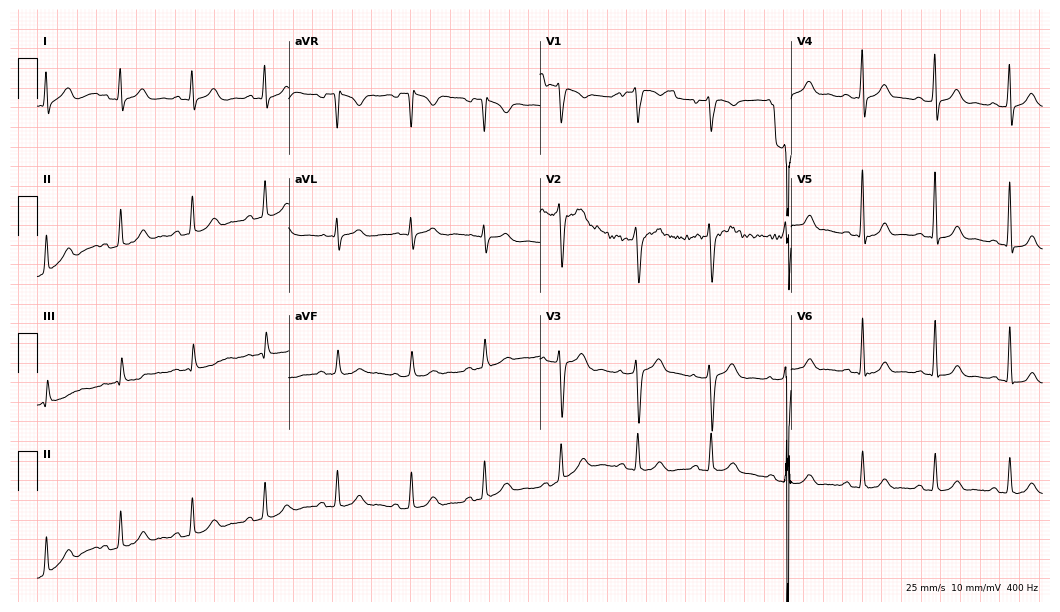
Standard 12-lead ECG recorded from a male patient, 29 years old (10.2-second recording at 400 Hz). None of these six findings is recorded: first-degree AV block, right bundle branch block (RBBB), left bundle branch block (LBBB), sinus bradycardia, atrial fibrillation (AF), sinus tachycardia. Findings outside these six are not listed.